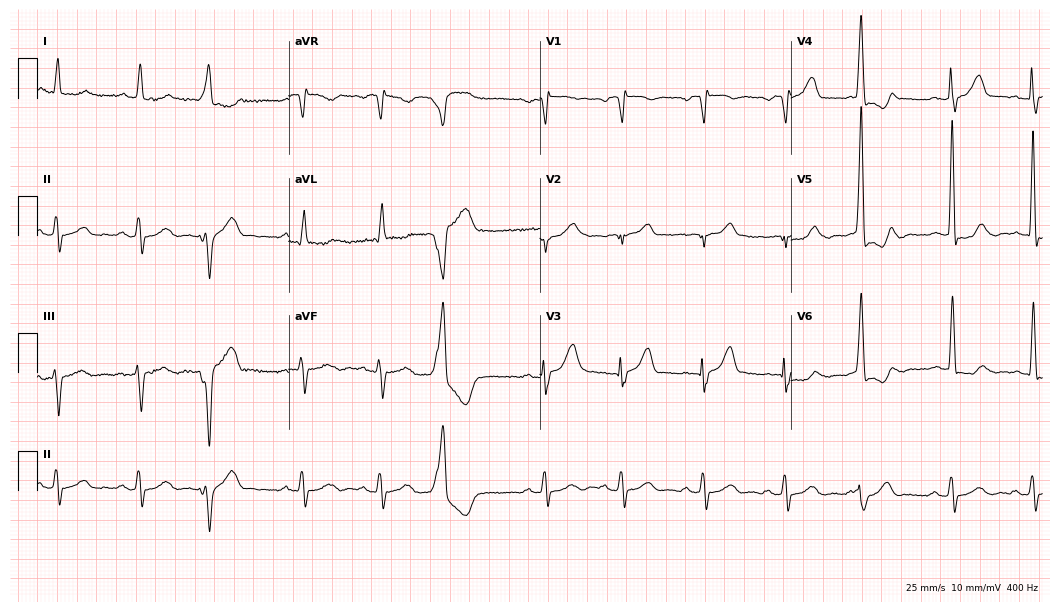
ECG (10.2-second recording at 400 Hz) — a 70-year-old man. Labelled as a normal ECG.